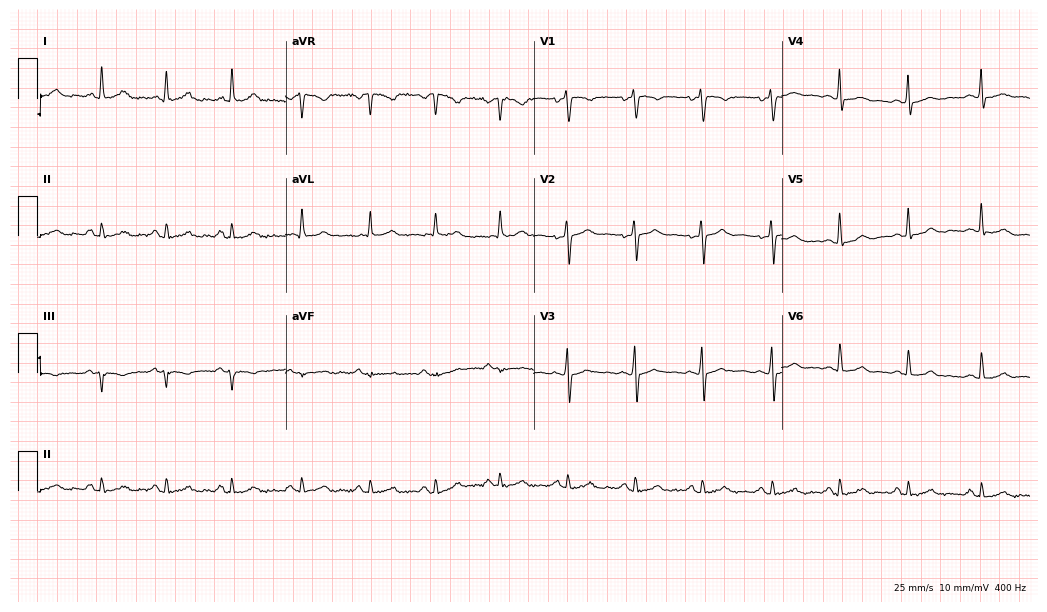
12-lead ECG from a 26-year-old male patient. Recorded interpretation: within normal limits.